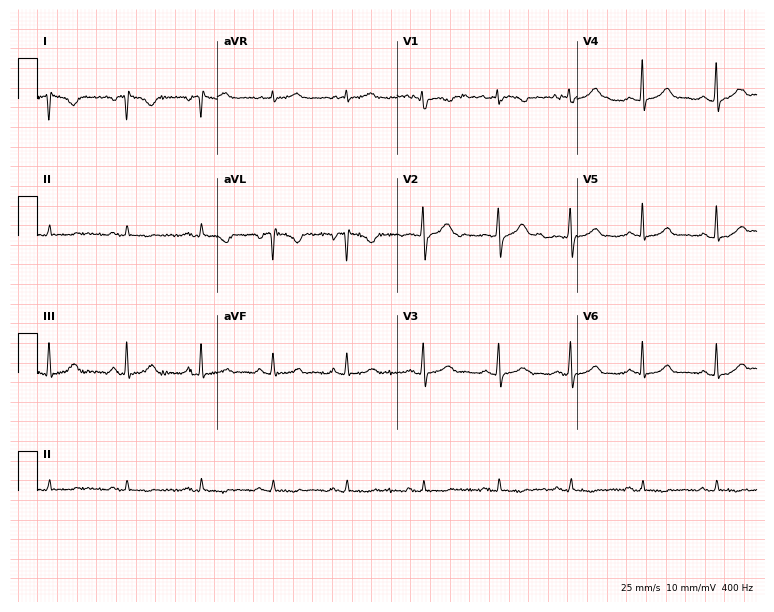
Electrocardiogram (7.3-second recording at 400 Hz), a female patient, 26 years old. Of the six screened findings (first-degree AV block, right bundle branch block, left bundle branch block, sinus bradycardia, atrial fibrillation, sinus tachycardia), none is recorded.